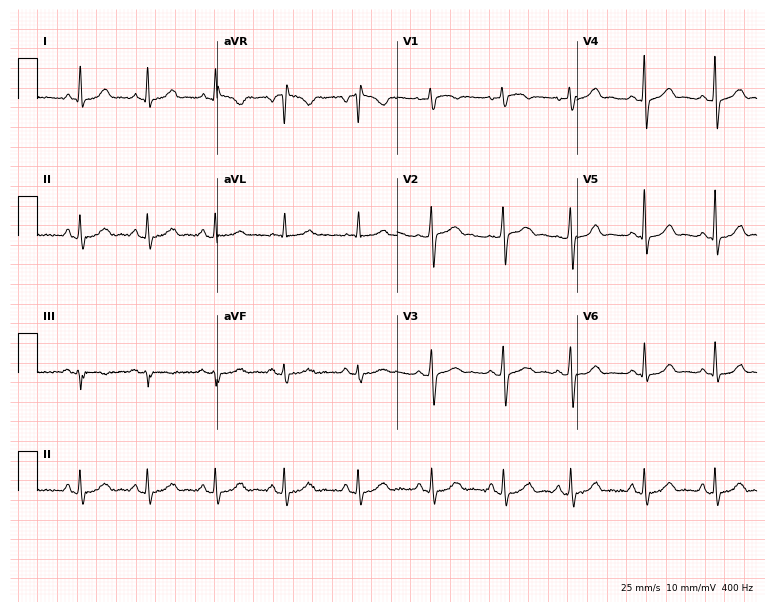
ECG (7.3-second recording at 400 Hz) — a 61-year-old female patient. Labelled as a normal ECG.